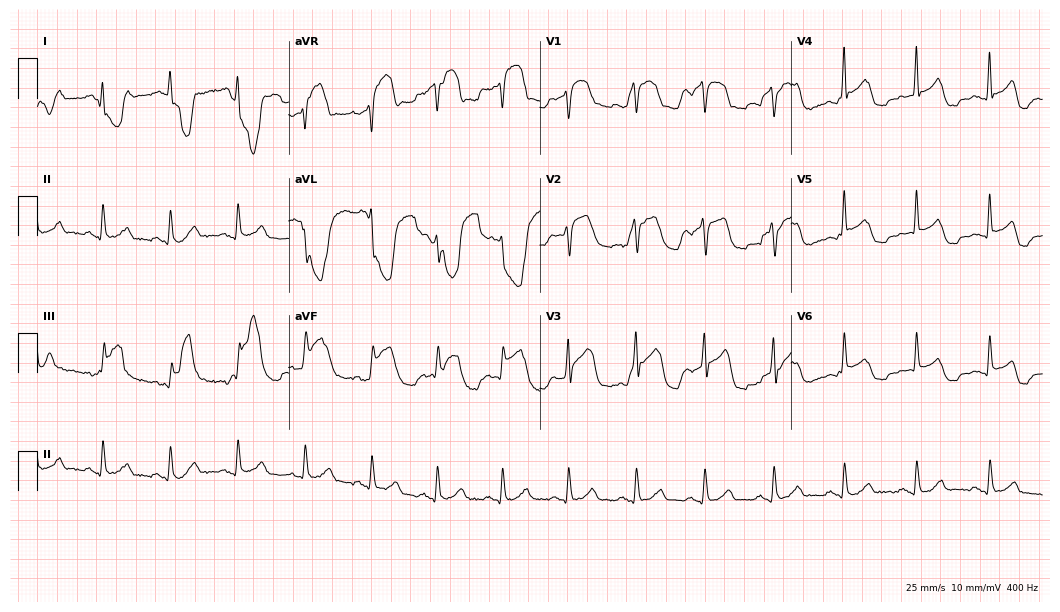
12-lead ECG from a 32-year-old woman (10.2-second recording at 400 Hz). No first-degree AV block, right bundle branch block, left bundle branch block, sinus bradycardia, atrial fibrillation or sinus tachycardia recorded for this tracing. Other findings, if any, are not listed.